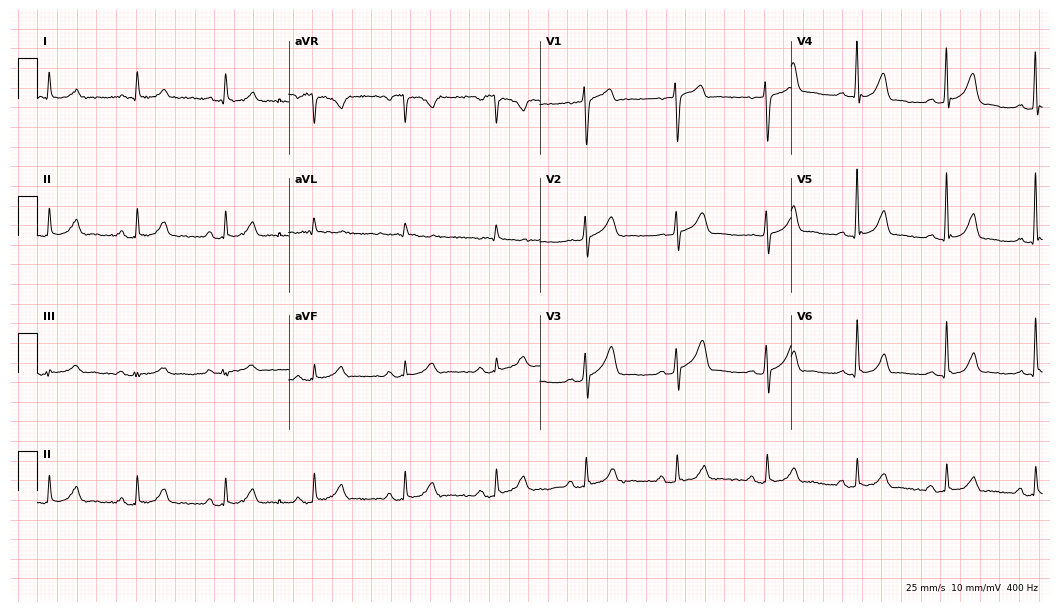
12-lead ECG from an 81-year-old male patient. No first-degree AV block, right bundle branch block (RBBB), left bundle branch block (LBBB), sinus bradycardia, atrial fibrillation (AF) or sinus tachycardia recorded for this tracing. Findings outside these six are not listed.